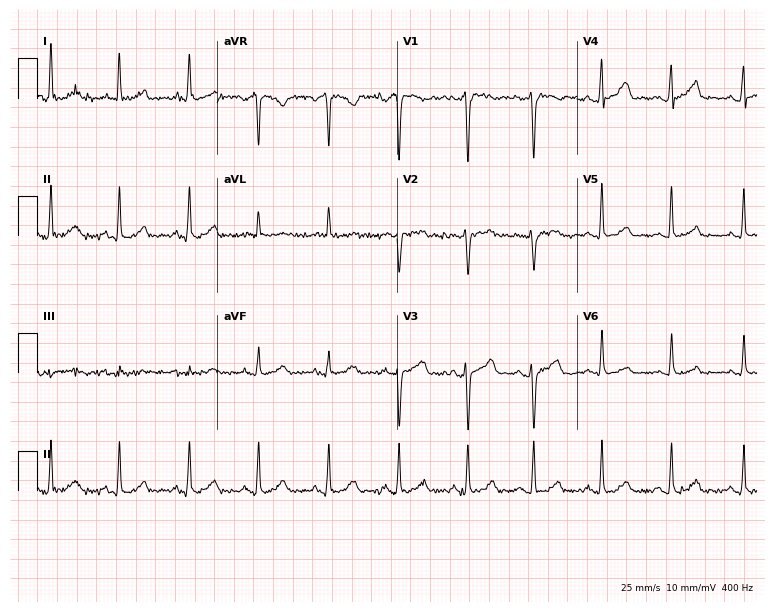
Resting 12-lead electrocardiogram. Patient: a 27-year-old woman. Read as a normal ECG.